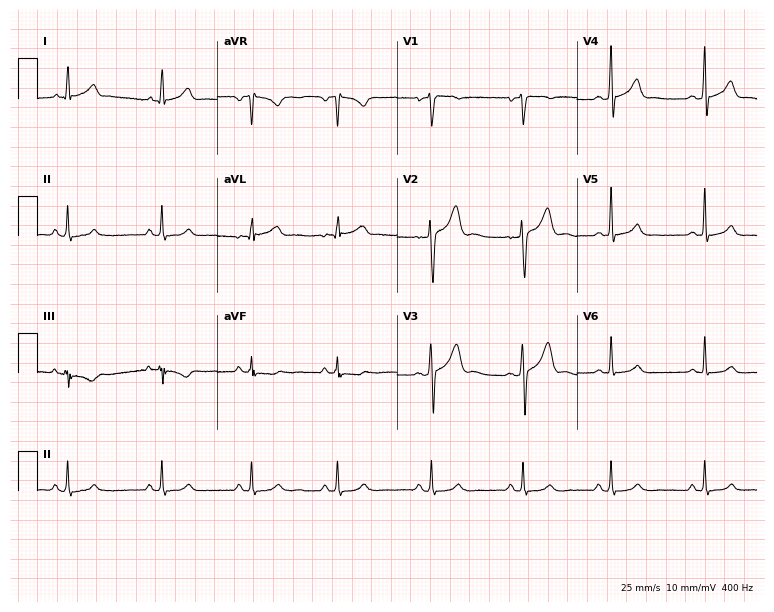
Standard 12-lead ECG recorded from a male patient, 25 years old. None of these six findings is recorded: first-degree AV block, right bundle branch block (RBBB), left bundle branch block (LBBB), sinus bradycardia, atrial fibrillation (AF), sinus tachycardia. Only these six findings were labelled.